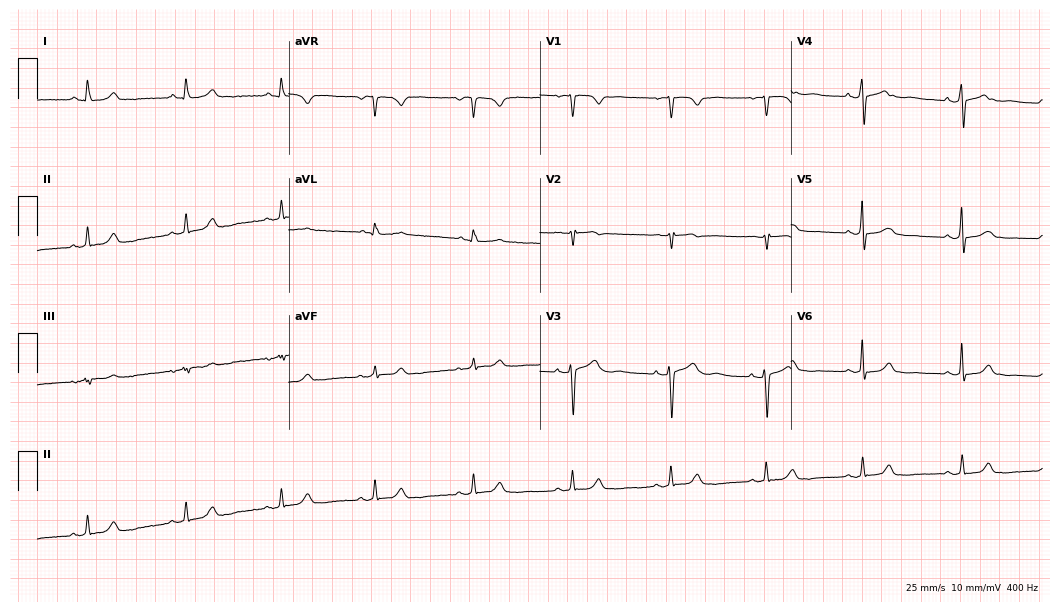
Resting 12-lead electrocardiogram (10.2-second recording at 400 Hz). Patient: a 46-year-old female. Read as a normal ECG.